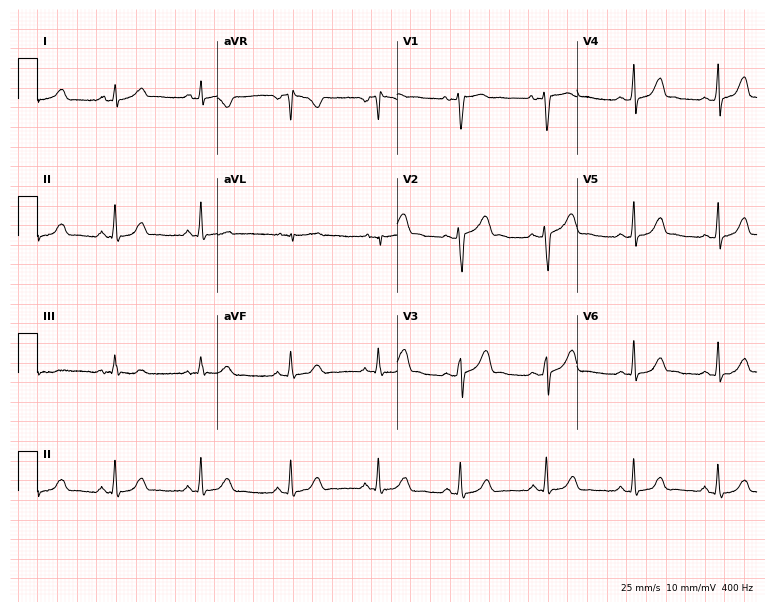
12-lead ECG from a woman, 24 years old (7.3-second recording at 400 Hz). No first-degree AV block, right bundle branch block, left bundle branch block, sinus bradycardia, atrial fibrillation or sinus tachycardia recorded for this tracing.